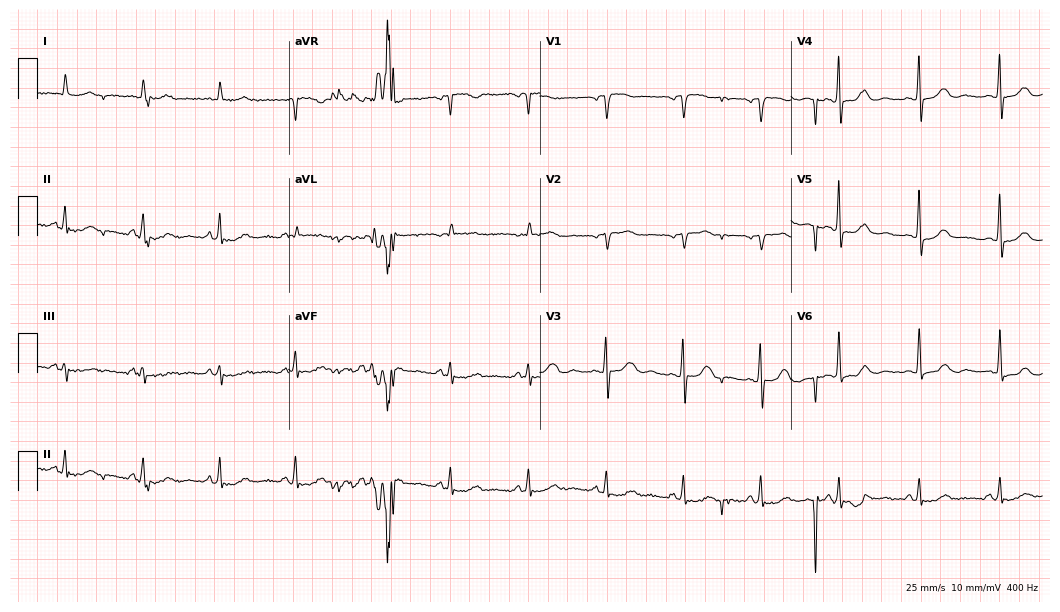
12-lead ECG (10.2-second recording at 400 Hz) from a 72-year-old female. Labelled as a normal ECG.